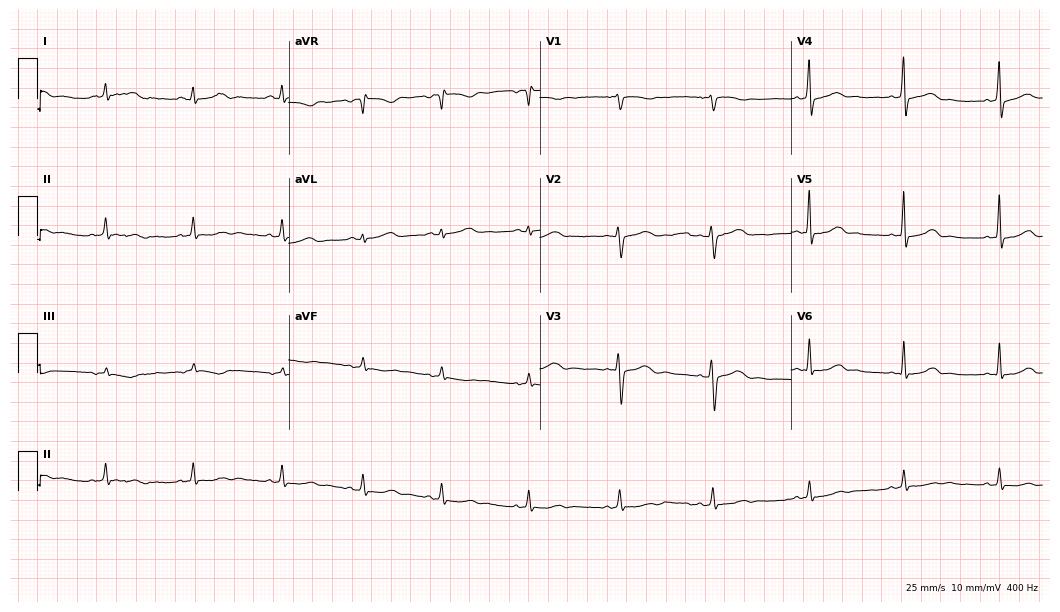
Electrocardiogram (10.2-second recording at 400 Hz), a woman, 29 years old. Overall reading on record: normal ECG.